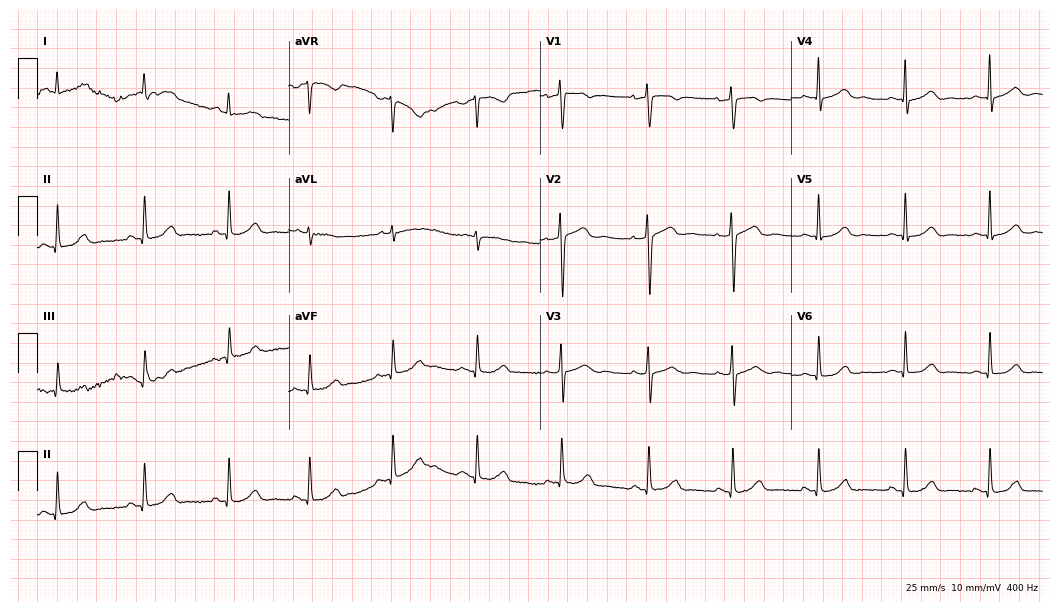
Resting 12-lead electrocardiogram (10.2-second recording at 400 Hz). Patient: a woman, 50 years old. Read as a normal ECG.